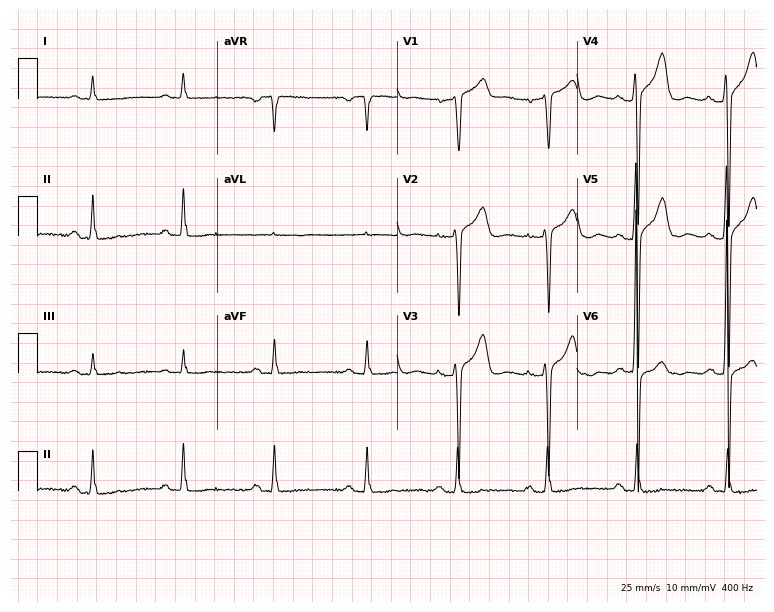
Standard 12-lead ECG recorded from a 73-year-old male (7.3-second recording at 400 Hz). None of these six findings is recorded: first-degree AV block, right bundle branch block (RBBB), left bundle branch block (LBBB), sinus bradycardia, atrial fibrillation (AF), sinus tachycardia. Findings outside these six are not listed.